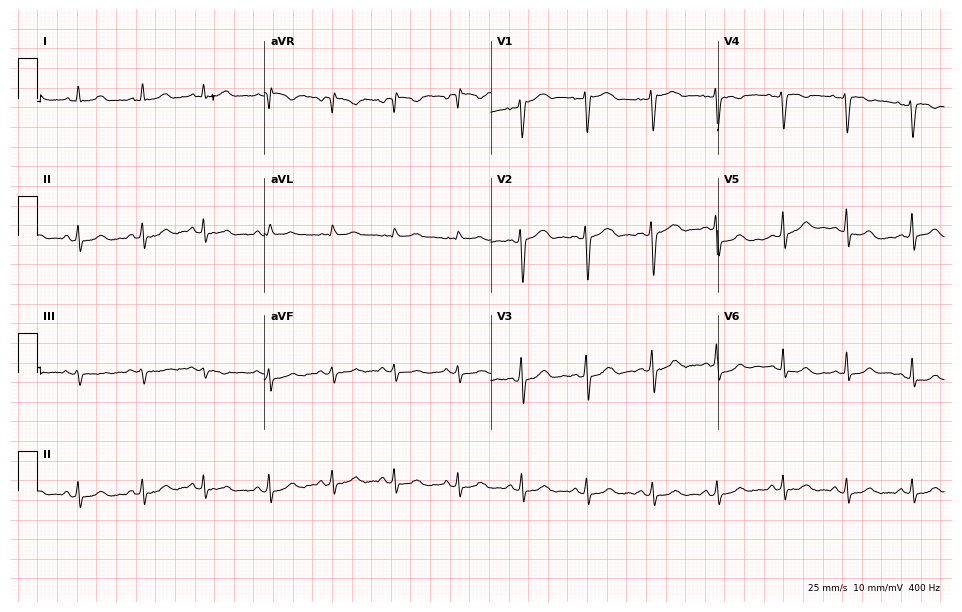
Standard 12-lead ECG recorded from a woman, 39 years old (9.2-second recording at 400 Hz). None of these six findings is recorded: first-degree AV block, right bundle branch block (RBBB), left bundle branch block (LBBB), sinus bradycardia, atrial fibrillation (AF), sinus tachycardia. Other findings, if any, are not listed.